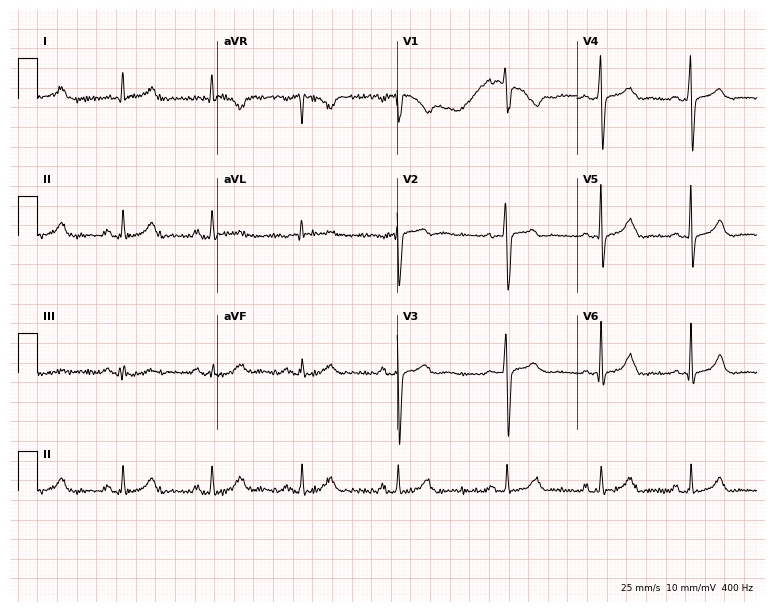
ECG — a male, 28 years old. Screened for six findings — first-degree AV block, right bundle branch block (RBBB), left bundle branch block (LBBB), sinus bradycardia, atrial fibrillation (AF), sinus tachycardia — none is recorded. Findings outside these six are not listed.